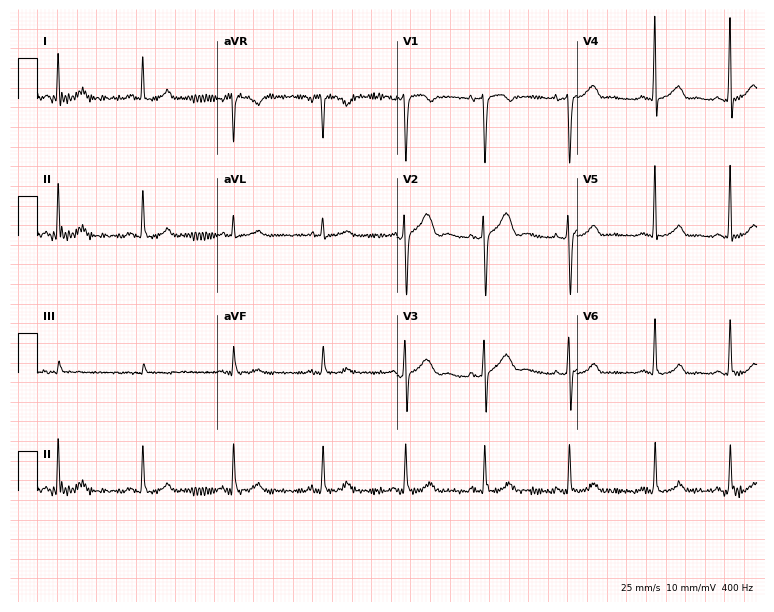
ECG (7.3-second recording at 400 Hz) — a female, 31 years old. Labelled as a normal ECG.